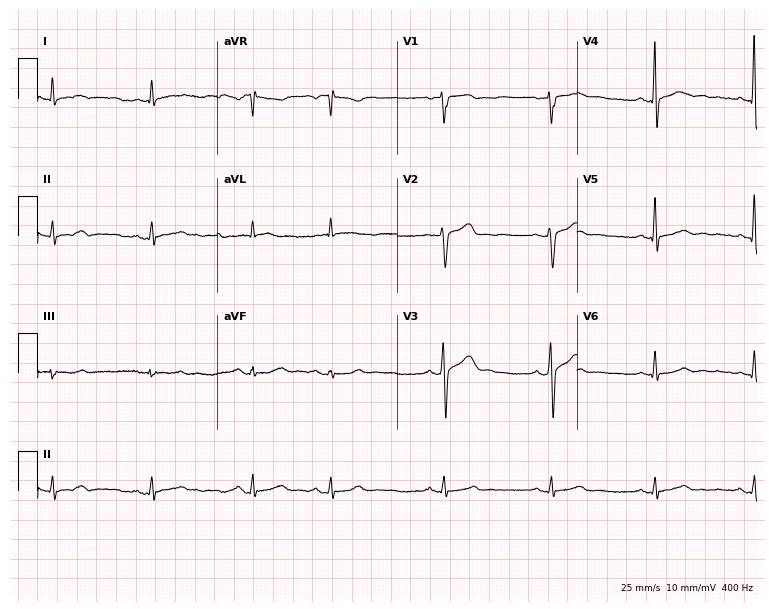
ECG — a male patient, 57 years old. Screened for six findings — first-degree AV block, right bundle branch block (RBBB), left bundle branch block (LBBB), sinus bradycardia, atrial fibrillation (AF), sinus tachycardia — none is recorded.